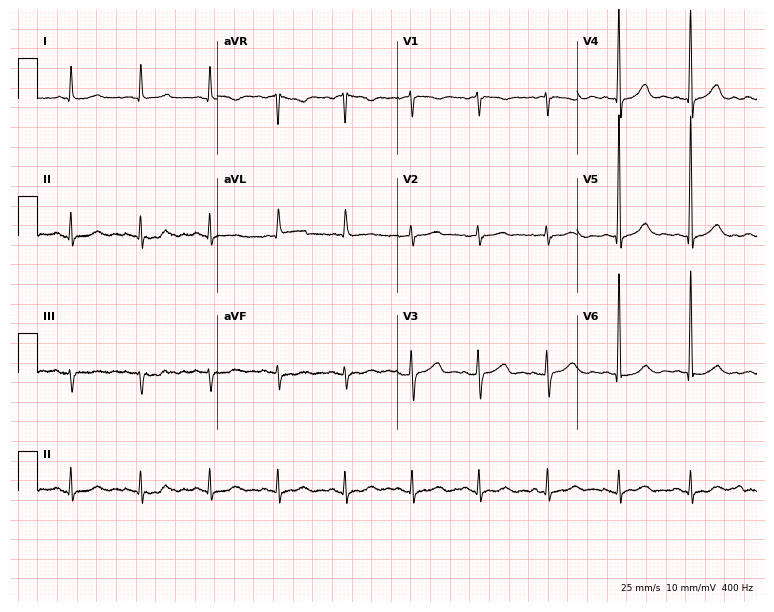
12-lead ECG from a female, 82 years old (7.3-second recording at 400 Hz). No first-degree AV block, right bundle branch block, left bundle branch block, sinus bradycardia, atrial fibrillation or sinus tachycardia recorded for this tracing.